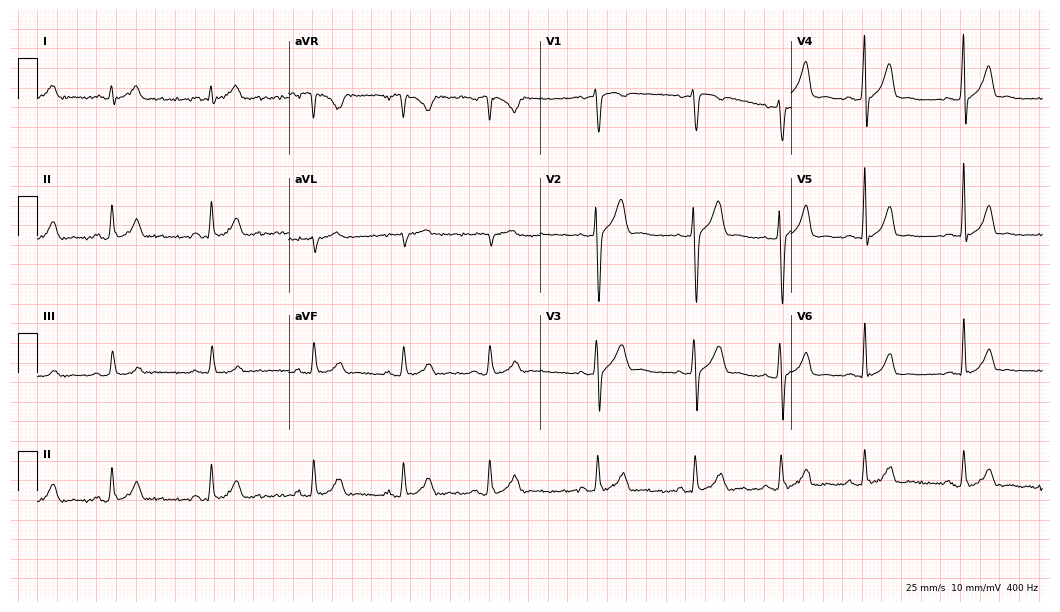
12-lead ECG from a 27-year-old male patient (10.2-second recording at 400 Hz). Recorded interpretation: within normal limits.